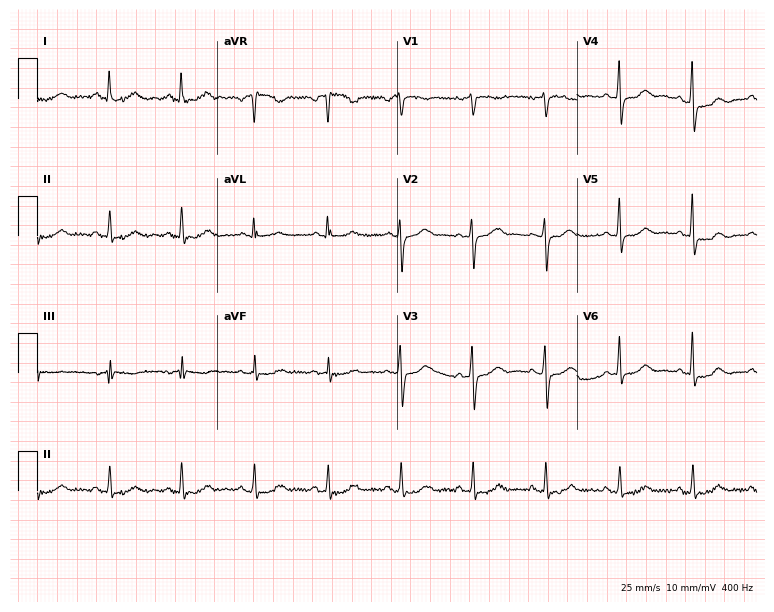
Electrocardiogram (7.3-second recording at 400 Hz), a 59-year-old female. Of the six screened findings (first-degree AV block, right bundle branch block (RBBB), left bundle branch block (LBBB), sinus bradycardia, atrial fibrillation (AF), sinus tachycardia), none is recorded. Findings outside these six are not listed.